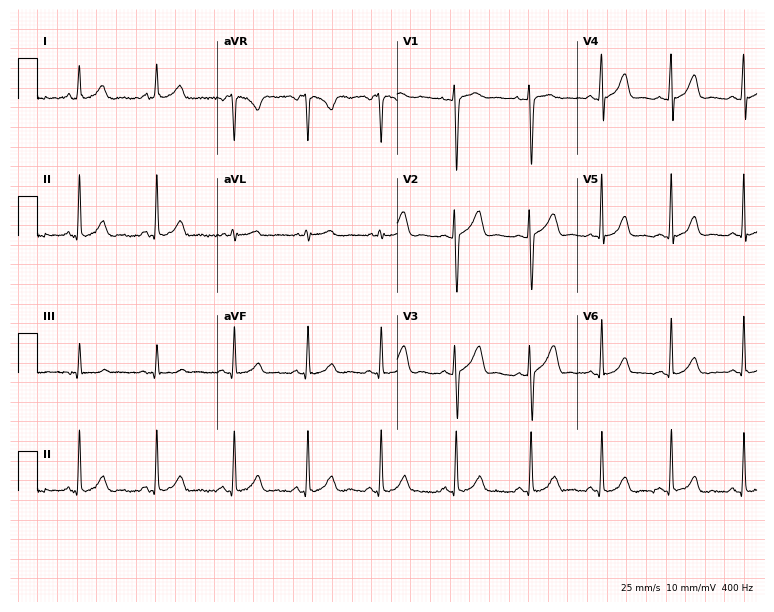
ECG (7.3-second recording at 400 Hz) — a 43-year-old female. Labelled as a normal ECG.